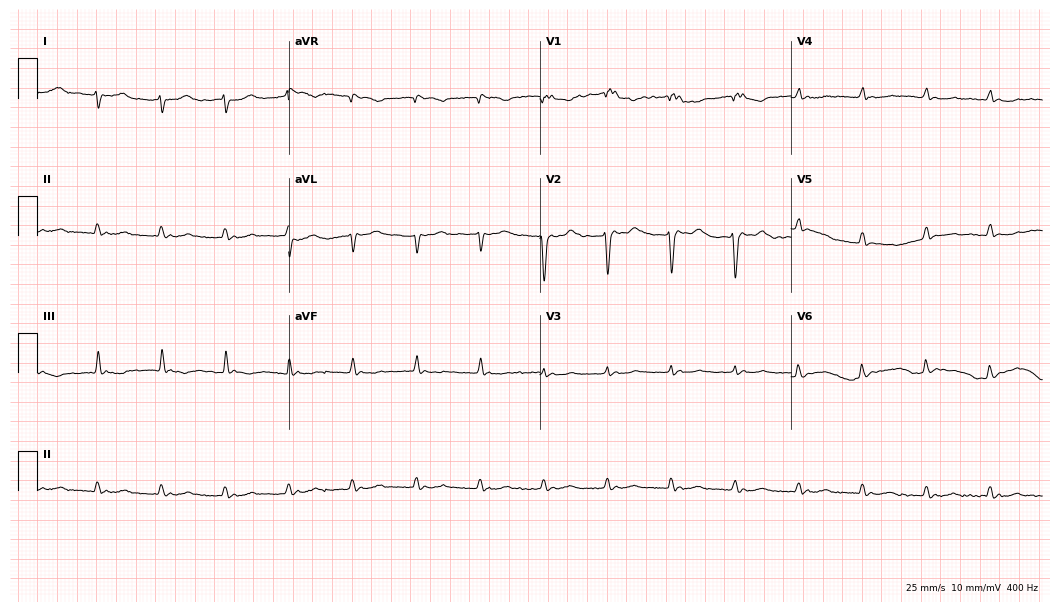
Resting 12-lead electrocardiogram. Patient: an 80-year-old woman. None of these six findings is recorded: first-degree AV block, right bundle branch block, left bundle branch block, sinus bradycardia, atrial fibrillation, sinus tachycardia.